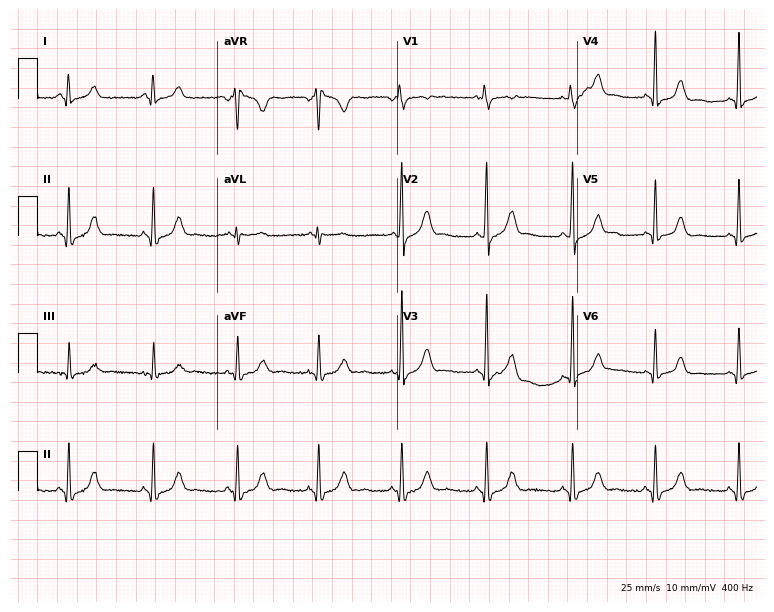
Resting 12-lead electrocardiogram. Patient: a female, 29 years old. None of these six findings is recorded: first-degree AV block, right bundle branch block, left bundle branch block, sinus bradycardia, atrial fibrillation, sinus tachycardia. Findings outside these six are not listed.